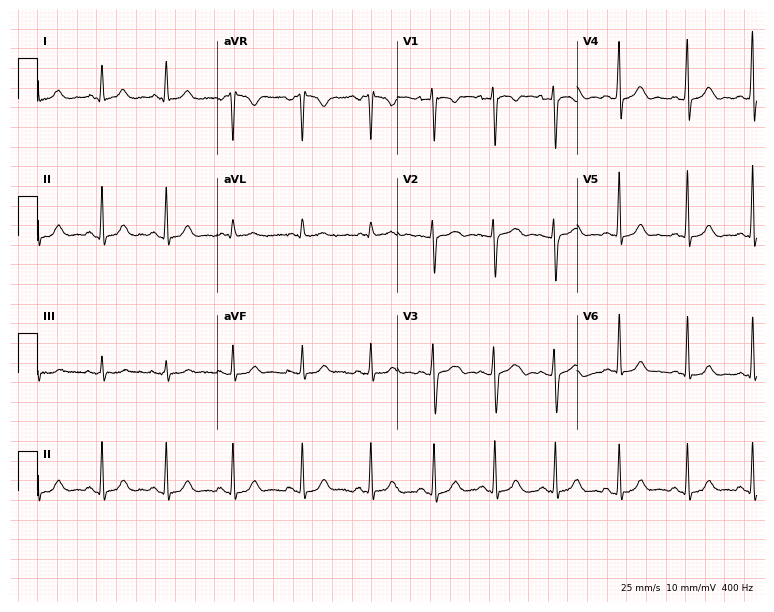
Standard 12-lead ECG recorded from a 19-year-old woman. Read as a normal ECG.